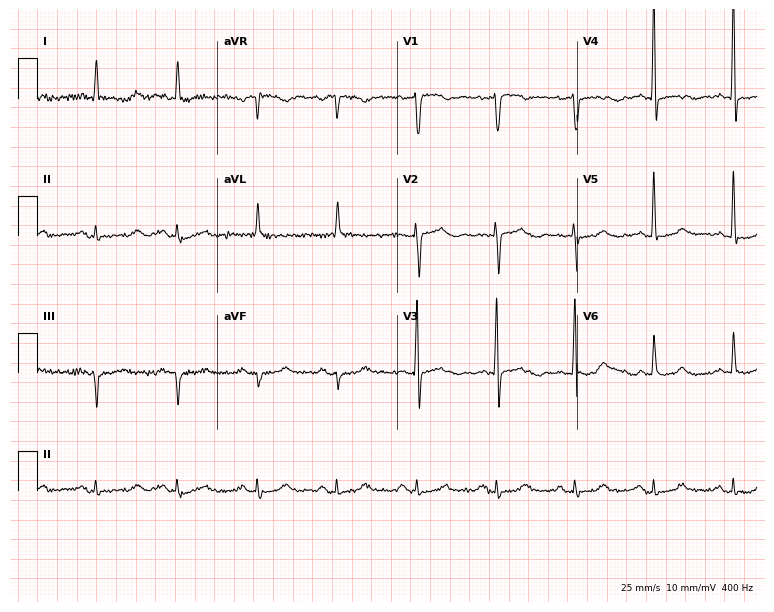
ECG (7.3-second recording at 400 Hz) — an 83-year-old female patient. Labelled as a normal ECG.